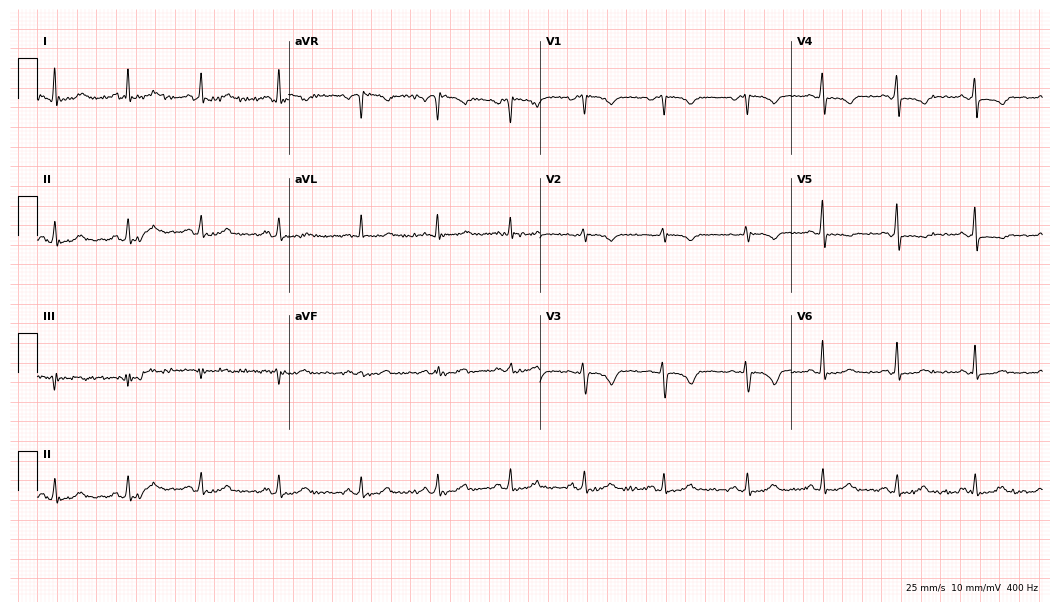
Standard 12-lead ECG recorded from a female, 37 years old. None of these six findings is recorded: first-degree AV block, right bundle branch block, left bundle branch block, sinus bradycardia, atrial fibrillation, sinus tachycardia. Other findings, if any, are not listed.